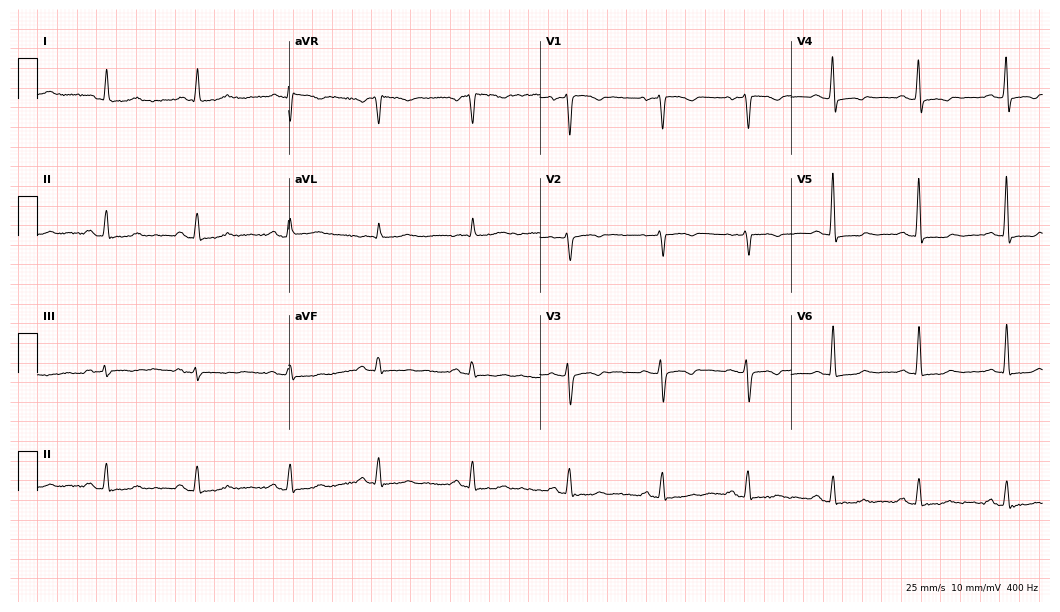
Resting 12-lead electrocardiogram. Patient: a woman, 45 years old. None of these six findings is recorded: first-degree AV block, right bundle branch block (RBBB), left bundle branch block (LBBB), sinus bradycardia, atrial fibrillation (AF), sinus tachycardia. Findings outside these six are not listed.